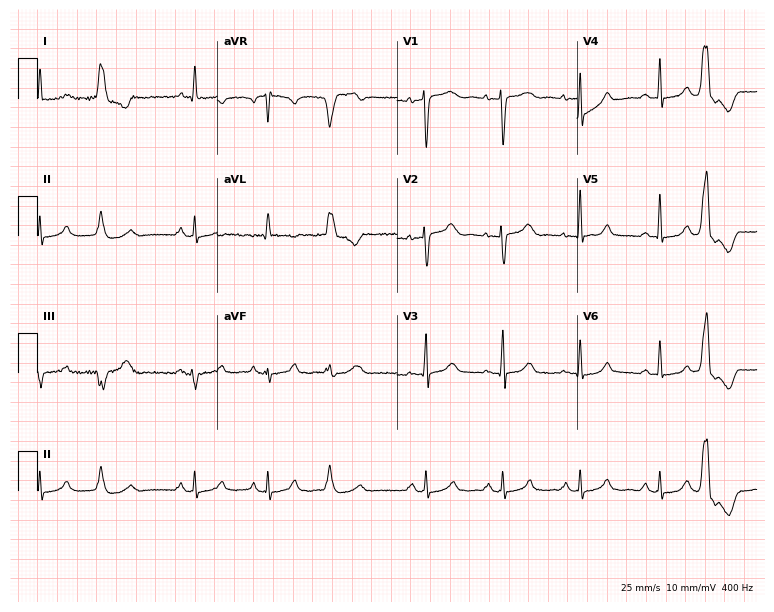
Electrocardiogram, a 55-year-old female. Of the six screened findings (first-degree AV block, right bundle branch block, left bundle branch block, sinus bradycardia, atrial fibrillation, sinus tachycardia), none is recorded. Other findings, if any, are not listed.